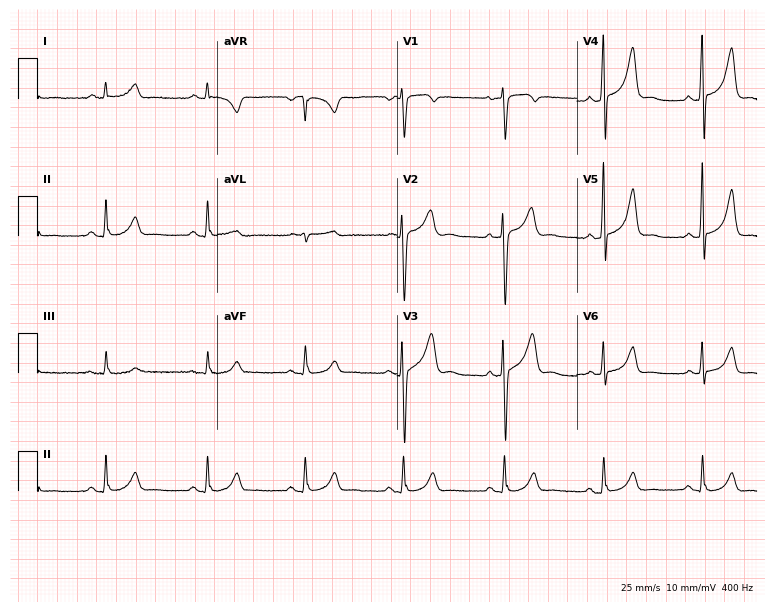
12-lead ECG from a 54-year-old male patient (7.3-second recording at 400 Hz). Recorded interpretation: within normal limits.